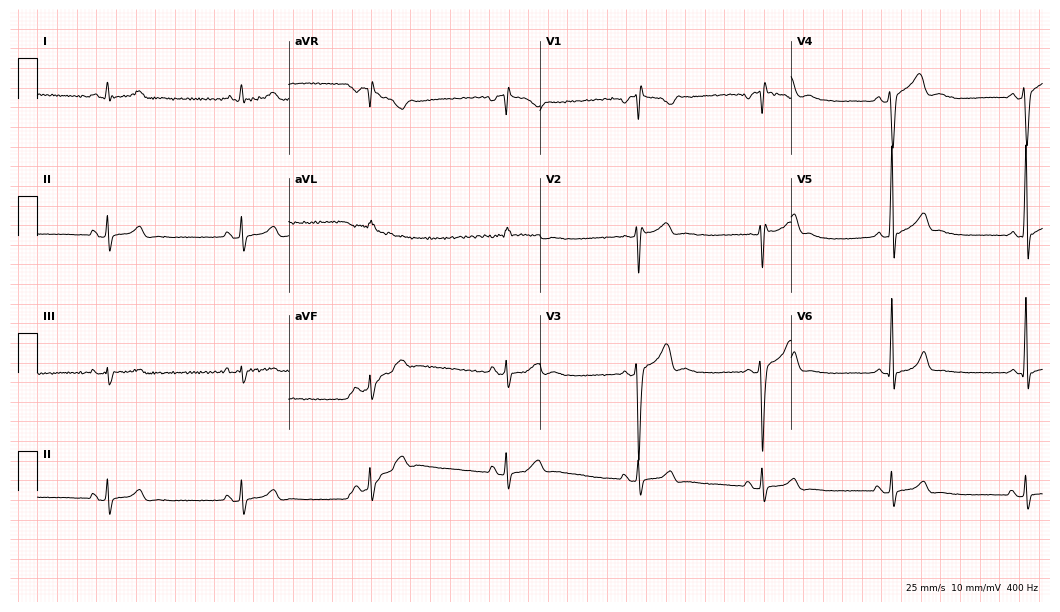
Electrocardiogram (10.2-second recording at 400 Hz), a male patient, 18 years old. Of the six screened findings (first-degree AV block, right bundle branch block, left bundle branch block, sinus bradycardia, atrial fibrillation, sinus tachycardia), none is recorded. Only these six findings were labelled.